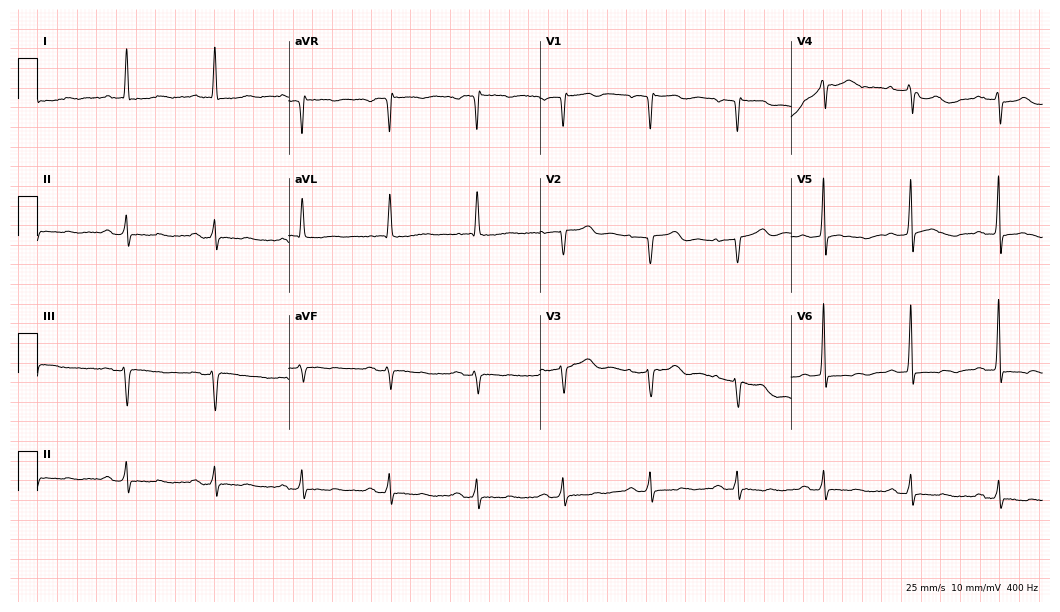
Electrocardiogram (10.2-second recording at 400 Hz), an 84-year-old female patient. Of the six screened findings (first-degree AV block, right bundle branch block, left bundle branch block, sinus bradycardia, atrial fibrillation, sinus tachycardia), none is recorded. Only these six findings were labelled.